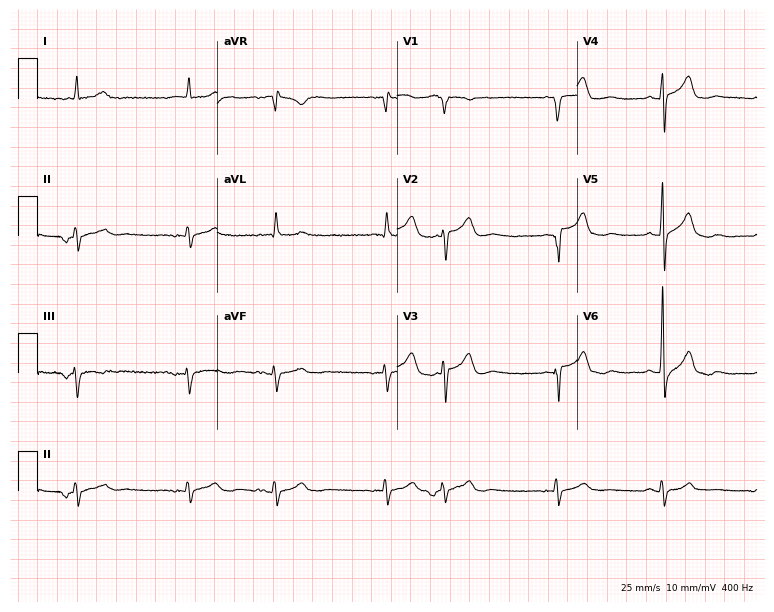
Resting 12-lead electrocardiogram (7.3-second recording at 400 Hz). Patient: a man, 75 years old. None of these six findings is recorded: first-degree AV block, right bundle branch block (RBBB), left bundle branch block (LBBB), sinus bradycardia, atrial fibrillation (AF), sinus tachycardia.